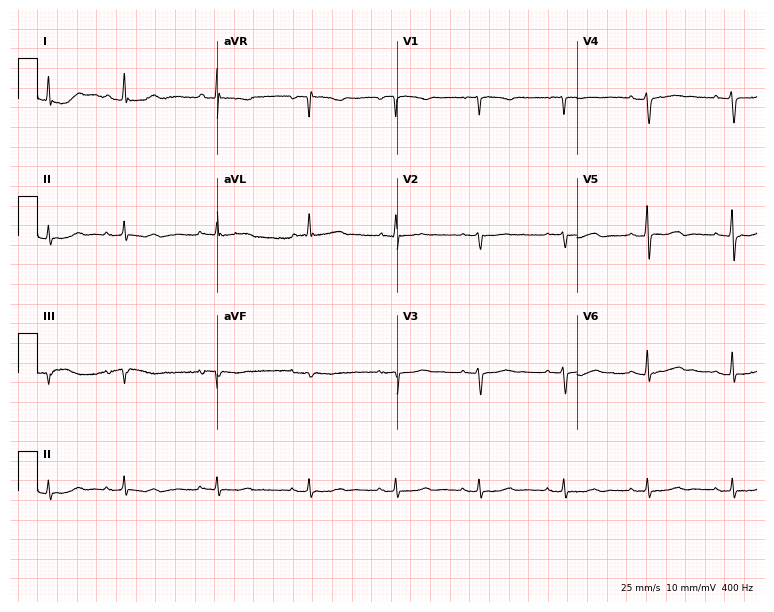
Standard 12-lead ECG recorded from a 73-year-old female (7.3-second recording at 400 Hz). None of these six findings is recorded: first-degree AV block, right bundle branch block (RBBB), left bundle branch block (LBBB), sinus bradycardia, atrial fibrillation (AF), sinus tachycardia. Findings outside these six are not listed.